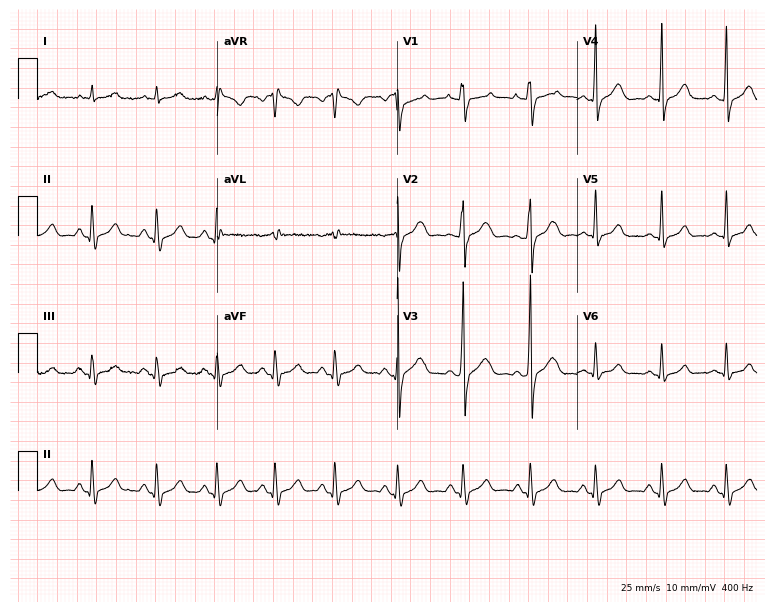
Resting 12-lead electrocardiogram (7.3-second recording at 400 Hz). Patient: a 26-year-old male. Read as a normal ECG.